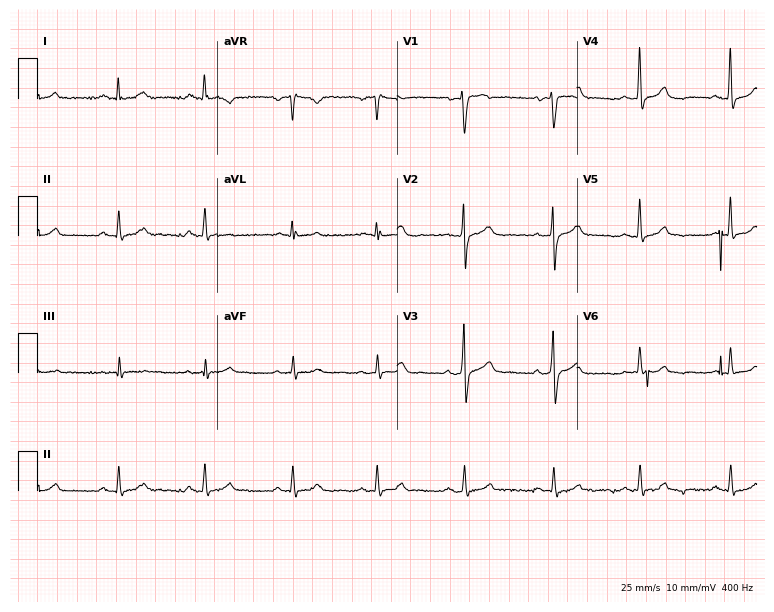
12-lead ECG from a man, 41 years old (7.3-second recording at 400 Hz). Recorded interpretation: within normal limits.